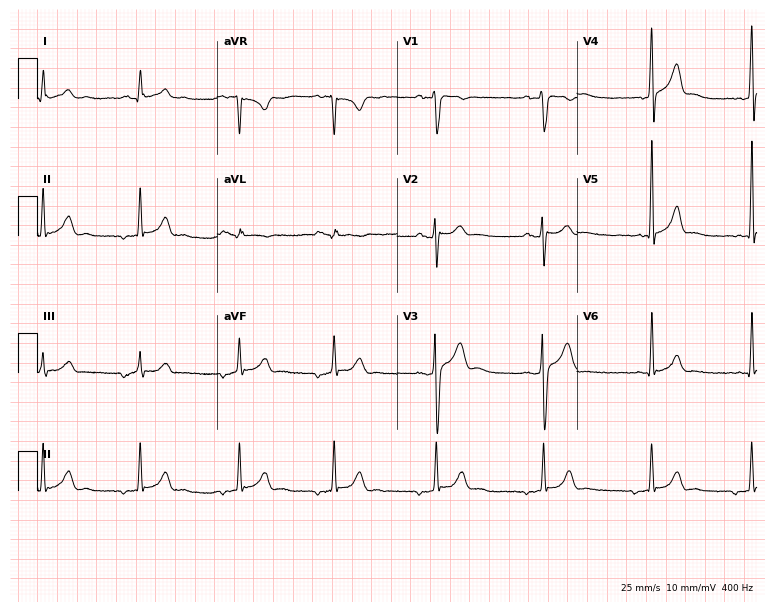
Standard 12-lead ECG recorded from a 27-year-old male patient. None of these six findings is recorded: first-degree AV block, right bundle branch block, left bundle branch block, sinus bradycardia, atrial fibrillation, sinus tachycardia.